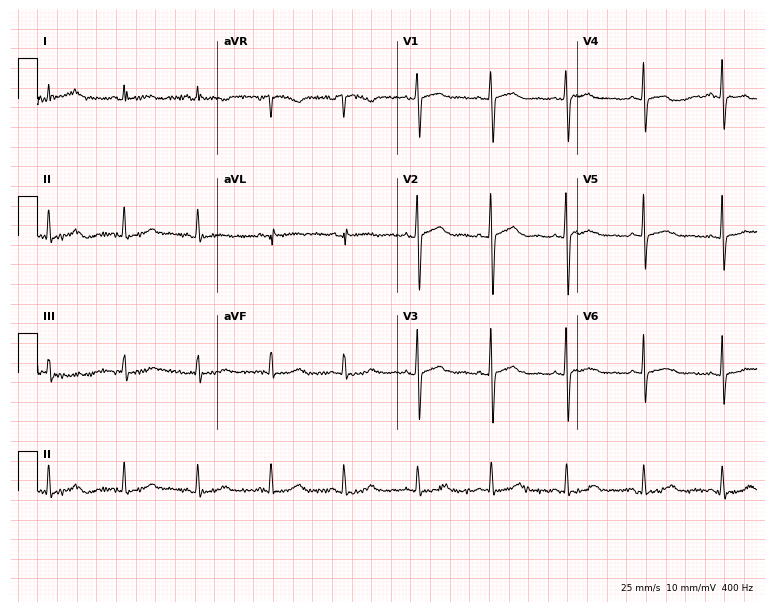
12-lead ECG (7.3-second recording at 400 Hz) from a 49-year-old female. Screened for six findings — first-degree AV block, right bundle branch block, left bundle branch block, sinus bradycardia, atrial fibrillation, sinus tachycardia — none is recorded.